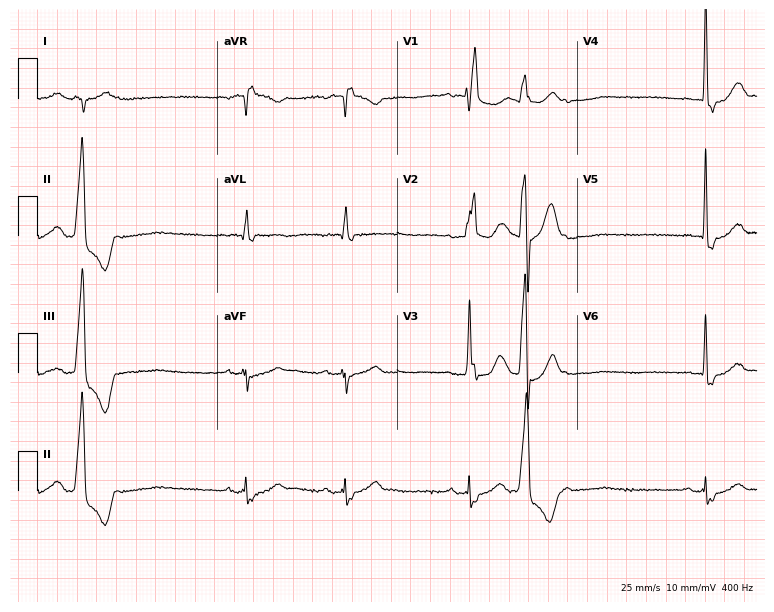
Standard 12-lead ECG recorded from an 81-year-old man (7.3-second recording at 400 Hz). The tracing shows right bundle branch block (RBBB).